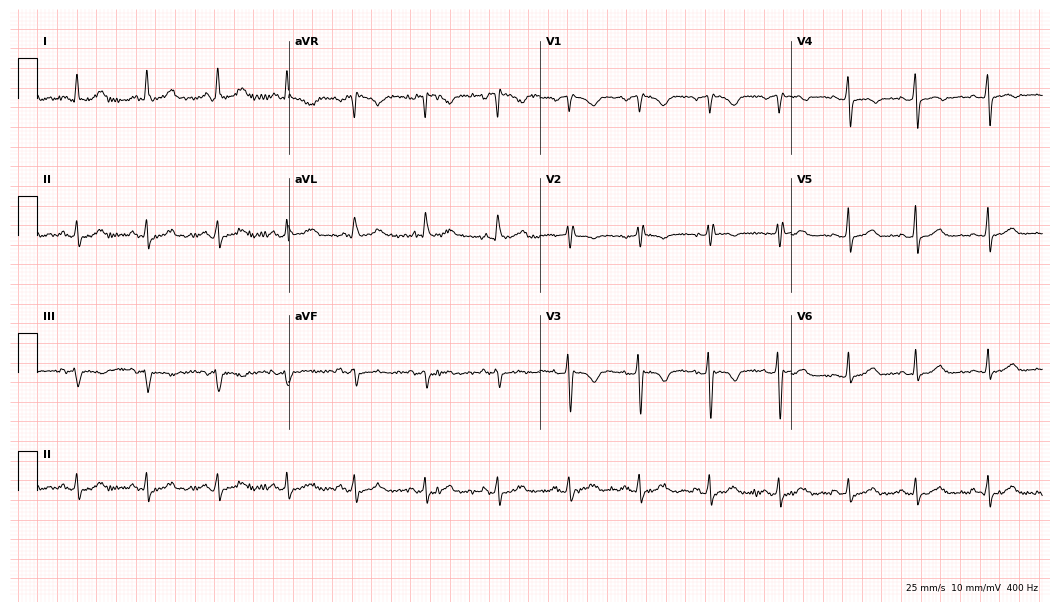
Electrocardiogram, a 37-year-old female. Of the six screened findings (first-degree AV block, right bundle branch block, left bundle branch block, sinus bradycardia, atrial fibrillation, sinus tachycardia), none is recorded.